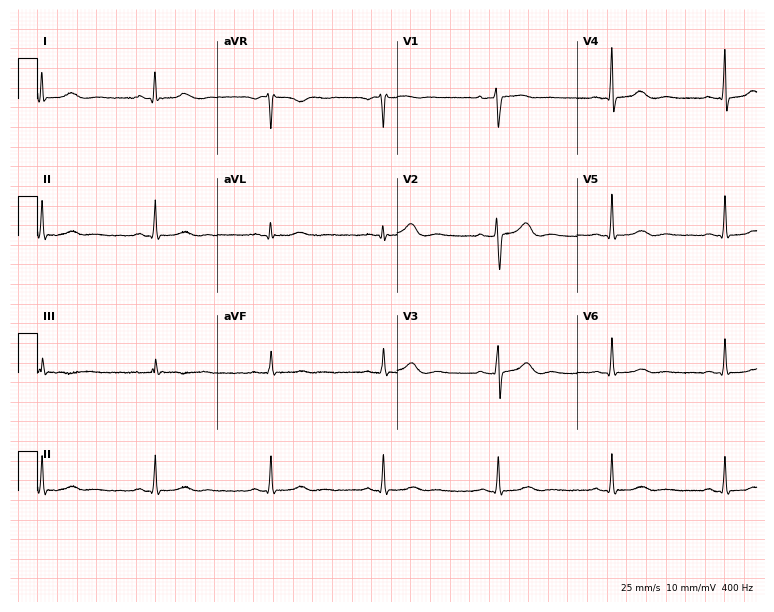
Resting 12-lead electrocardiogram. Patient: a male, 45 years old. Read as a normal ECG.